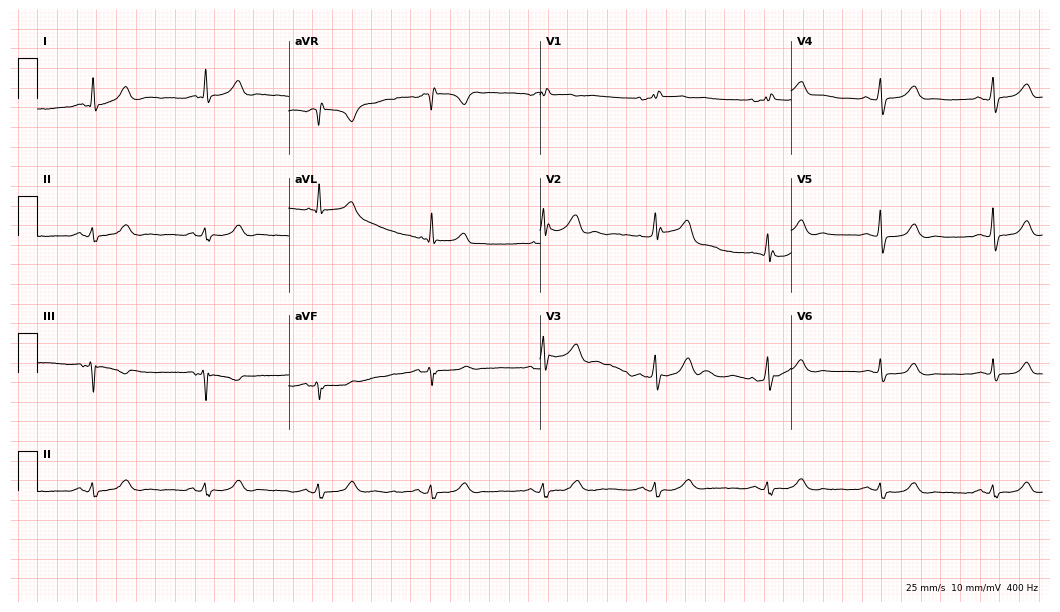
ECG — a female patient, 67 years old. Findings include right bundle branch block (RBBB).